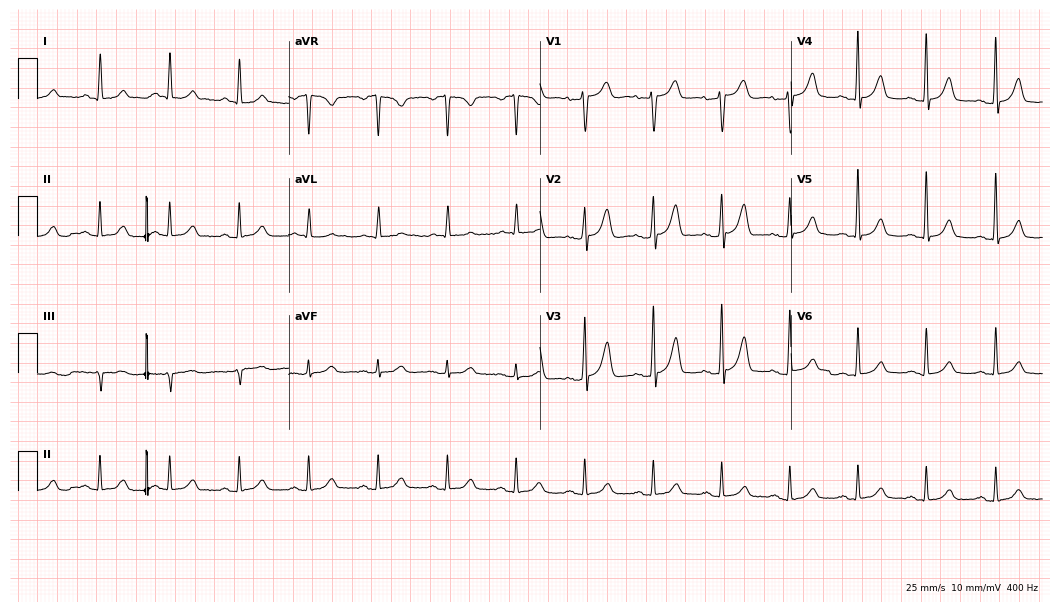
ECG — a female patient, 79 years old. Screened for six findings — first-degree AV block, right bundle branch block, left bundle branch block, sinus bradycardia, atrial fibrillation, sinus tachycardia — none is recorded.